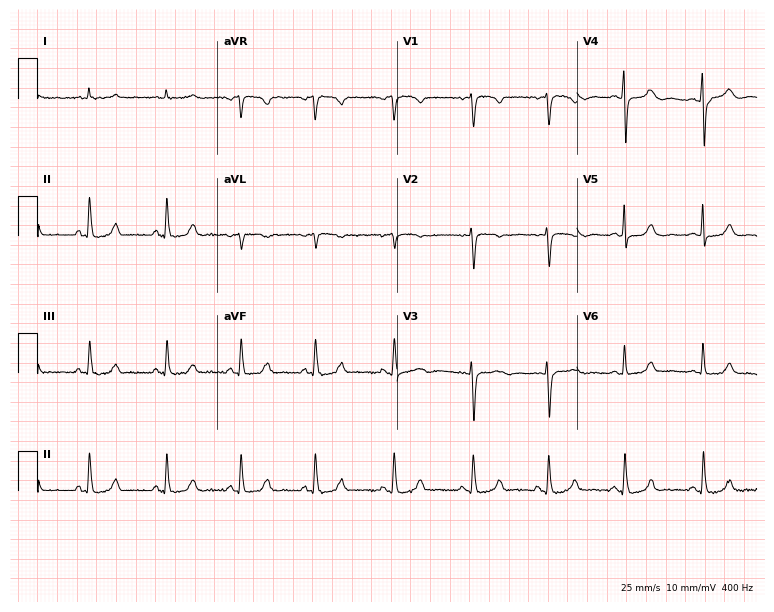
Standard 12-lead ECG recorded from a 60-year-old woman. None of these six findings is recorded: first-degree AV block, right bundle branch block, left bundle branch block, sinus bradycardia, atrial fibrillation, sinus tachycardia. Other findings, if any, are not listed.